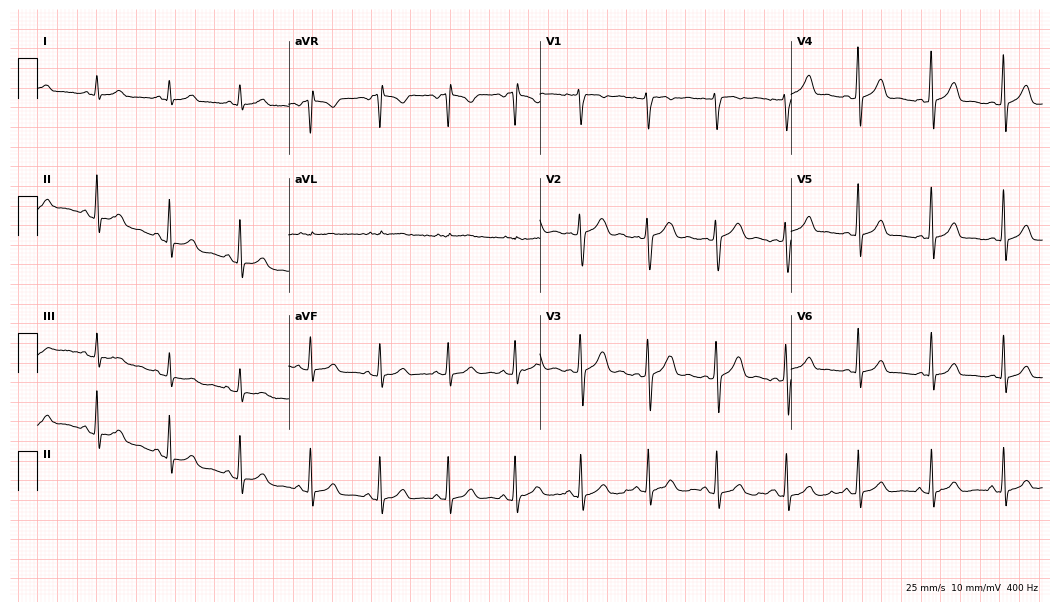
Resting 12-lead electrocardiogram (10.2-second recording at 400 Hz). Patient: a 43-year-old woman. Read as a normal ECG.